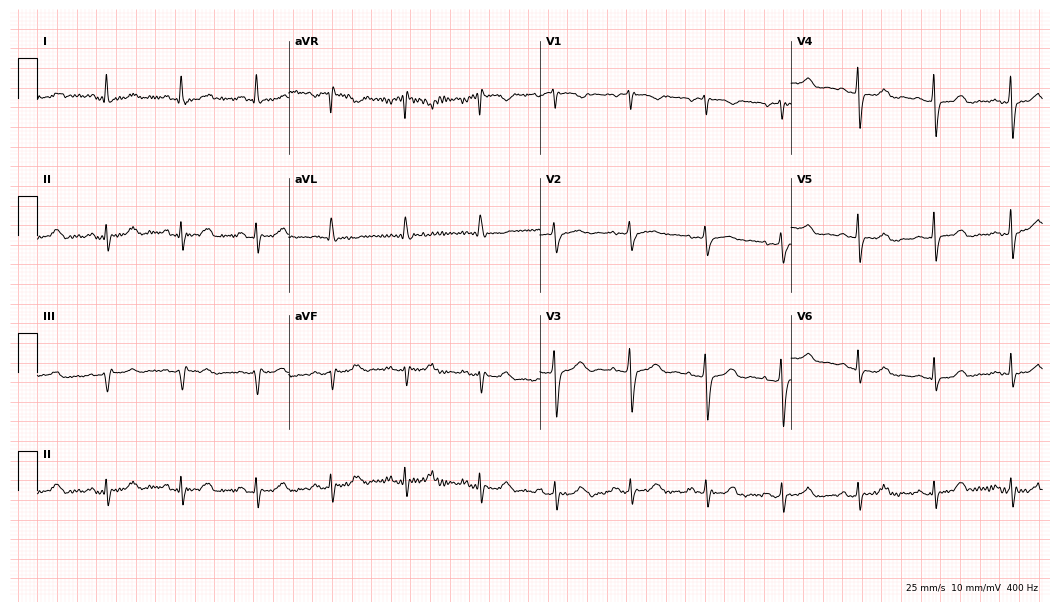
Electrocardiogram (10.2-second recording at 400 Hz), a woman, 69 years old. Of the six screened findings (first-degree AV block, right bundle branch block (RBBB), left bundle branch block (LBBB), sinus bradycardia, atrial fibrillation (AF), sinus tachycardia), none is recorded. Findings outside these six are not listed.